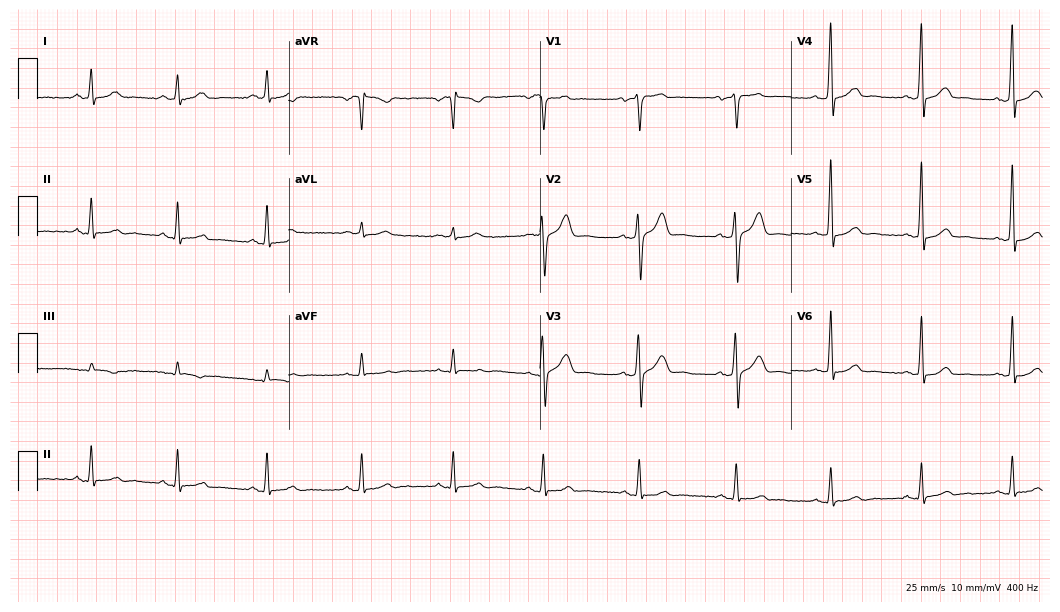
Electrocardiogram, a 70-year-old female. Overall reading on record: normal ECG.